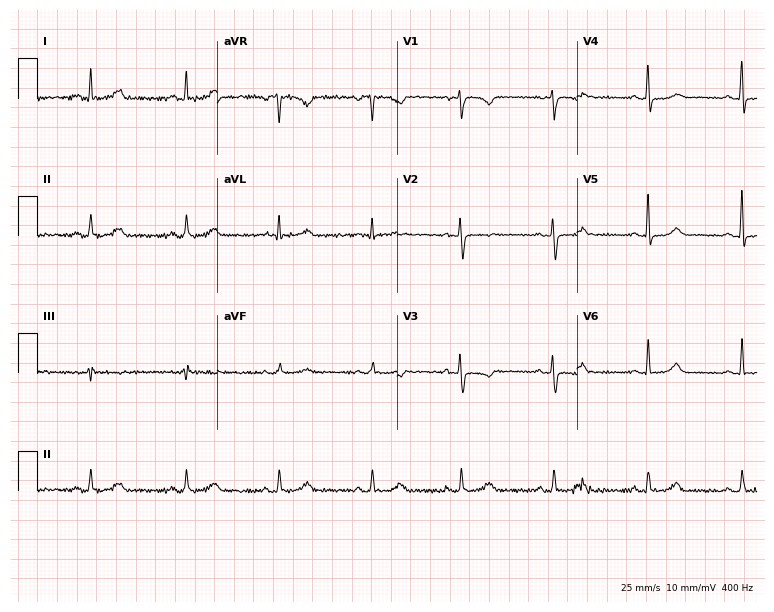
Resting 12-lead electrocardiogram. Patient: a 48-year-old female. None of these six findings is recorded: first-degree AV block, right bundle branch block, left bundle branch block, sinus bradycardia, atrial fibrillation, sinus tachycardia. Findings outside these six are not listed.